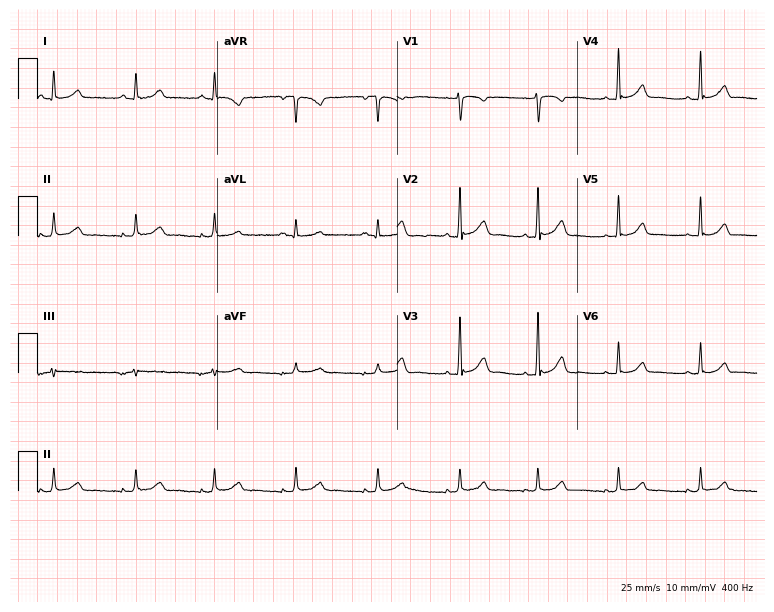
Electrocardiogram (7.3-second recording at 400 Hz), a female patient, 22 years old. Of the six screened findings (first-degree AV block, right bundle branch block, left bundle branch block, sinus bradycardia, atrial fibrillation, sinus tachycardia), none is recorded. Findings outside these six are not listed.